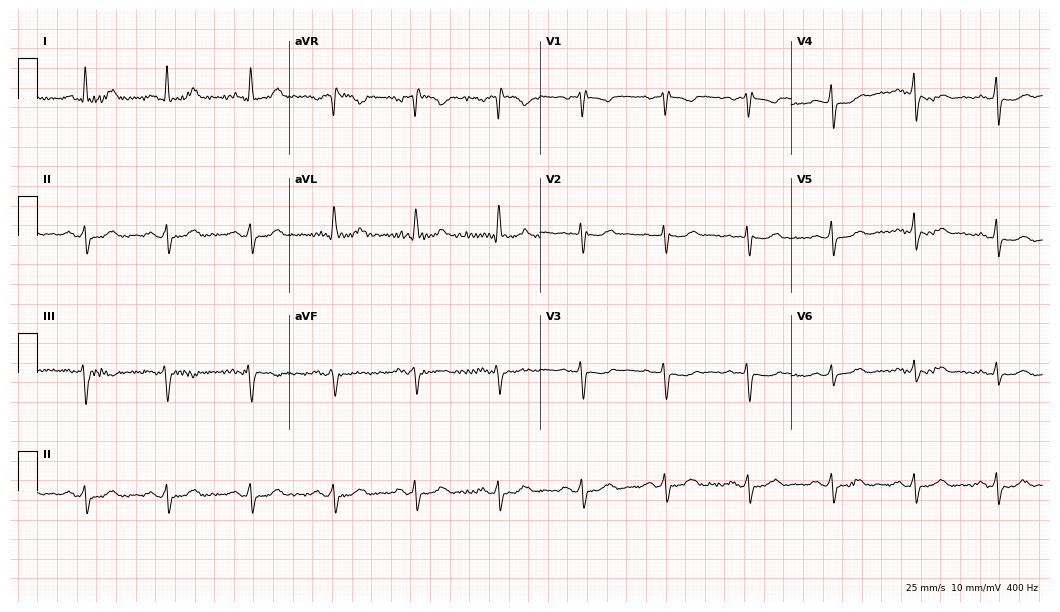
12-lead ECG from a woman, 64 years old. Screened for six findings — first-degree AV block, right bundle branch block, left bundle branch block, sinus bradycardia, atrial fibrillation, sinus tachycardia — none is recorded.